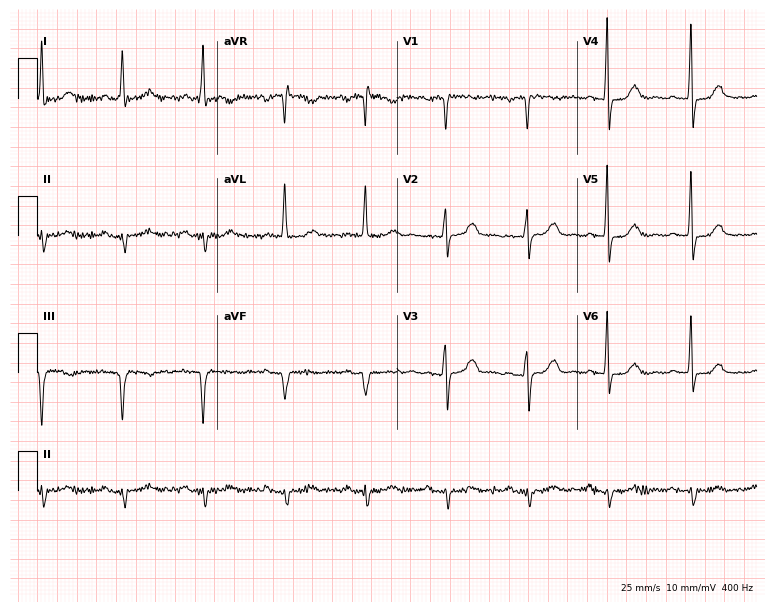
Electrocardiogram (7.3-second recording at 400 Hz), a 75-year-old woman. Of the six screened findings (first-degree AV block, right bundle branch block, left bundle branch block, sinus bradycardia, atrial fibrillation, sinus tachycardia), none is recorded. Only these six findings were labelled.